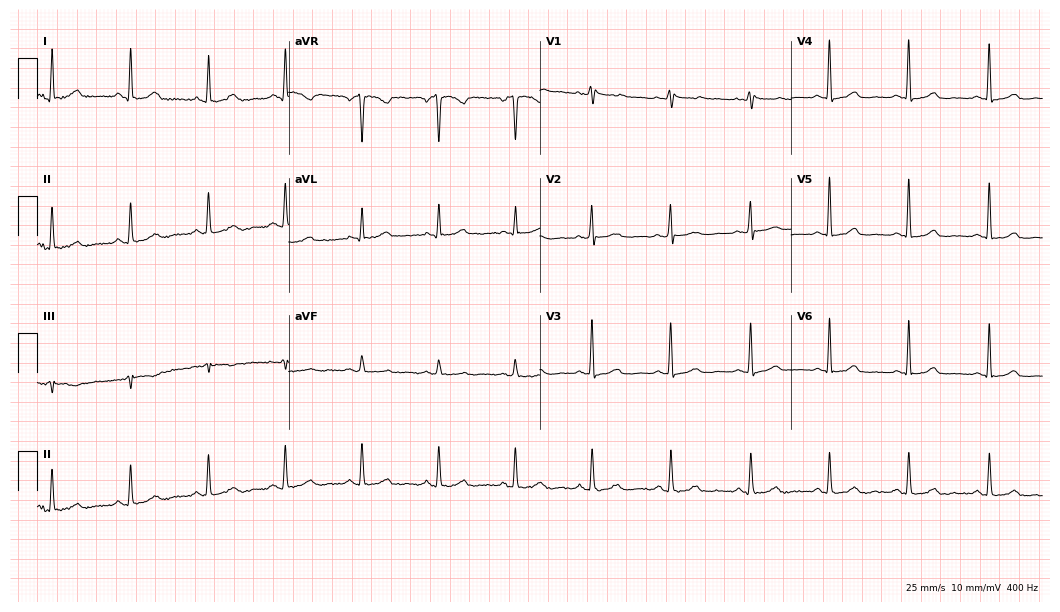
Standard 12-lead ECG recorded from a 65-year-old woman. None of these six findings is recorded: first-degree AV block, right bundle branch block (RBBB), left bundle branch block (LBBB), sinus bradycardia, atrial fibrillation (AF), sinus tachycardia.